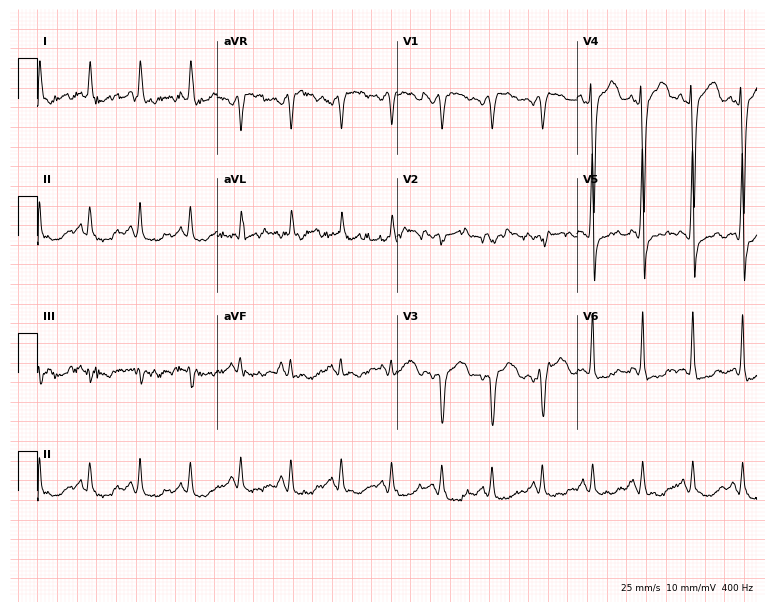
Electrocardiogram, a 57-year-old male. Of the six screened findings (first-degree AV block, right bundle branch block (RBBB), left bundle branch block (LBBB), sinus bradycardia, atrial fibrillation (AF), sinus tachycardia), none is recorded. Other findings, if any, are not listed.